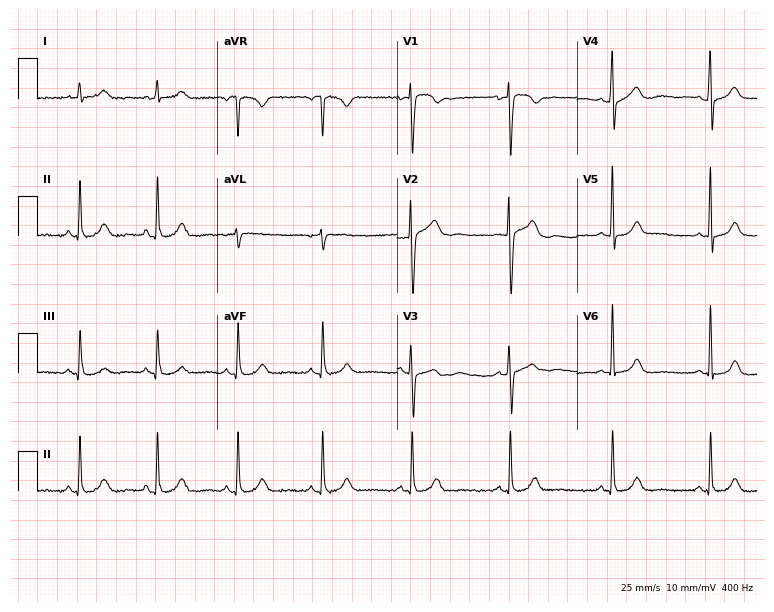
12-lead ECG (7.3-second recording at 400 Hz) from a female patient, 30 years old. Labelled as a normal ECG.